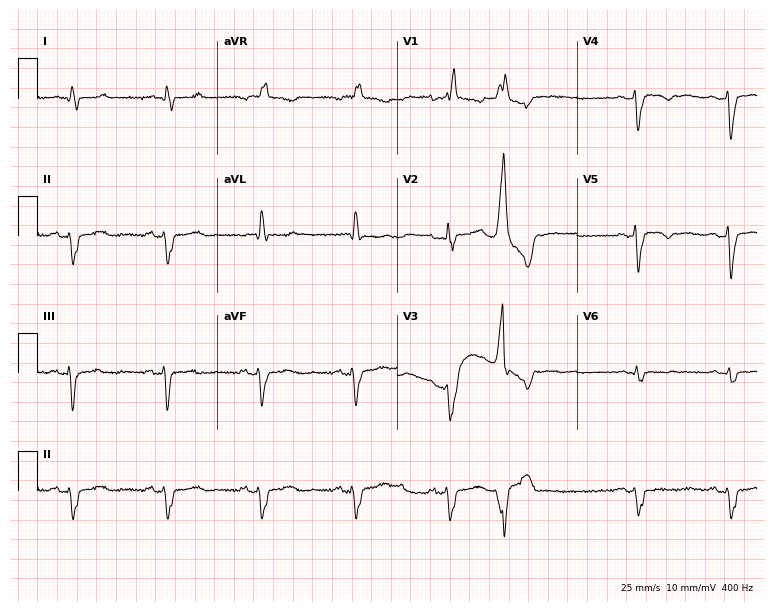
Standard 12-lead ECG recorded from a 36-year-old male patient (7.3-second recording at 400 Hz). None of these six findings is recorded: first-degree AV block, right bundle branch block (RBBB), left bundle branch block (LBBB), sinus bradycardia, atrial fibrillation (AF), sinus tachycardia. Other findings, if any, are not listed.